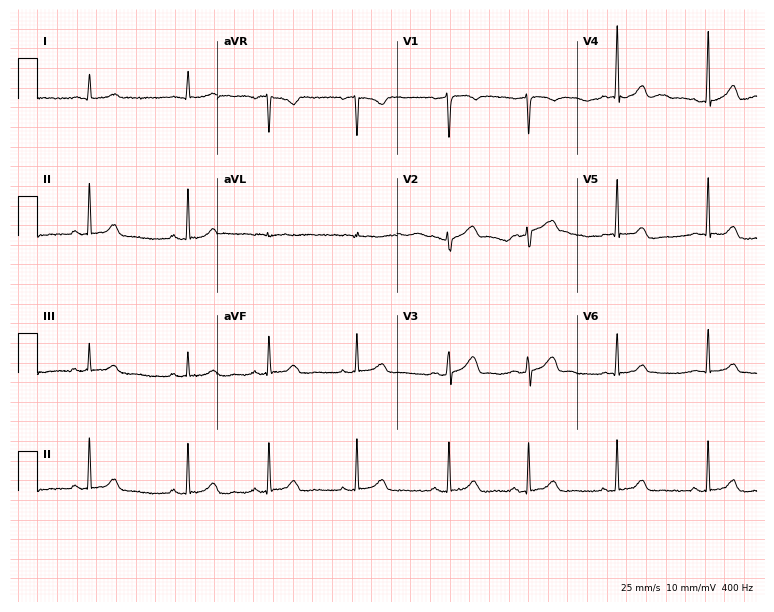
12-lead ECG from a female, 55 years old. Screened for six findings — first-degree AV block, right bundle branch block, left bundle branch block, sinus bradycardia, atrial fibrillation, sinus tachycardia — none is recorded.